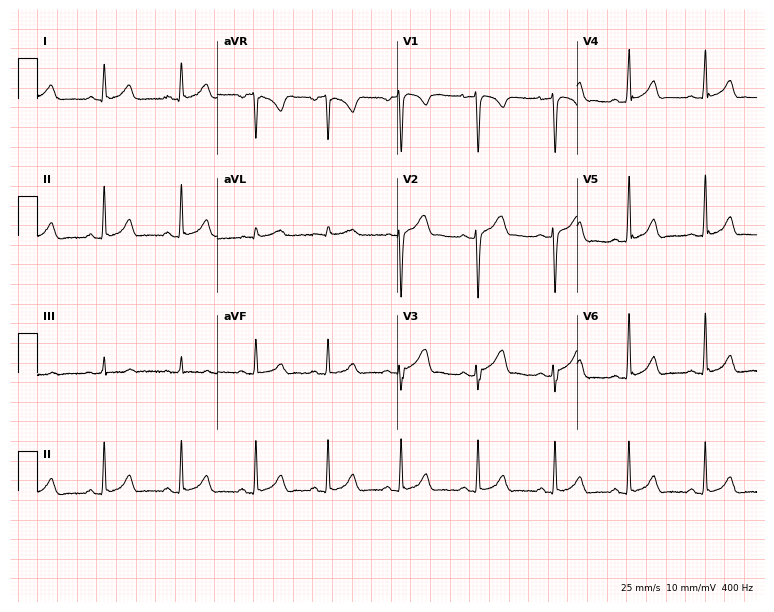
12-lead ECG (7.3-second recording at 400 Hz) from a man, 28 years old. Labelled as a normal ECG.